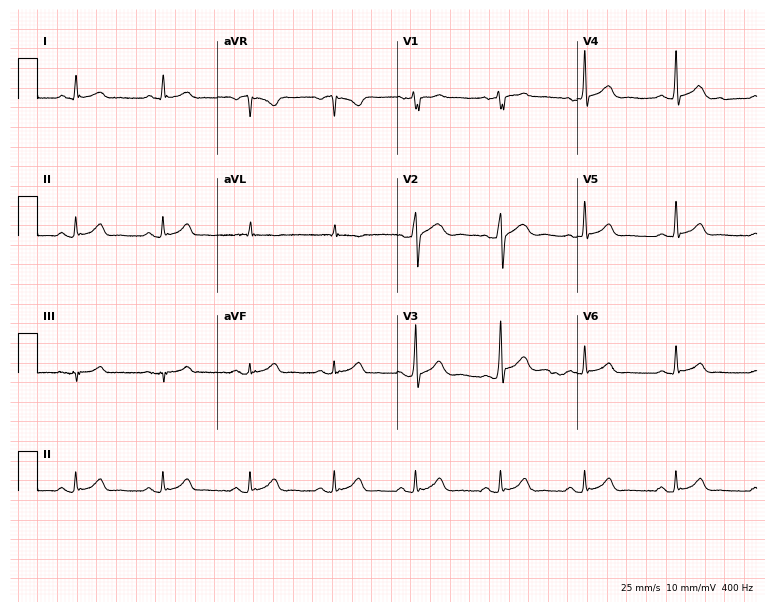
12-lead ECG from a 42-year-old male (7.3-second recording at 400 Hz). Recorded interpretation: within normal limits.